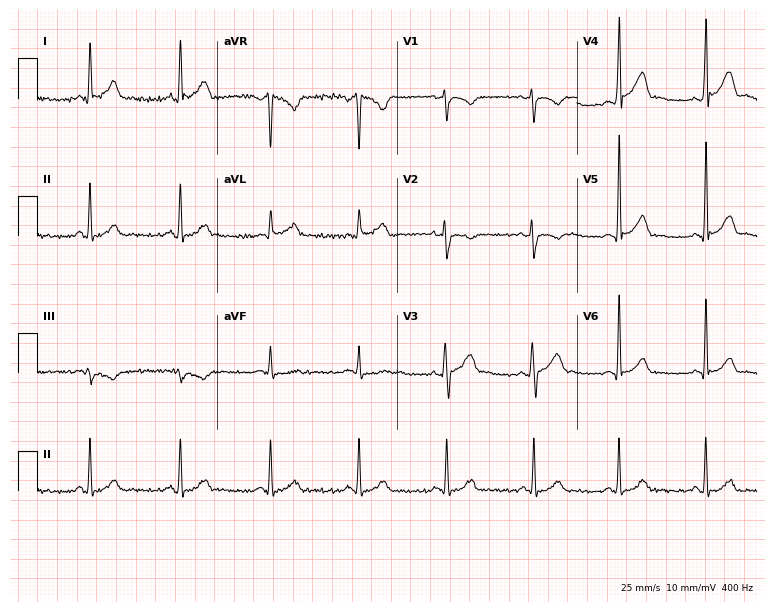
Electrocardiogram (7.3-second recording at 400 Hz), a 42-year-old male patient. Overall reading on record: normal ECG.